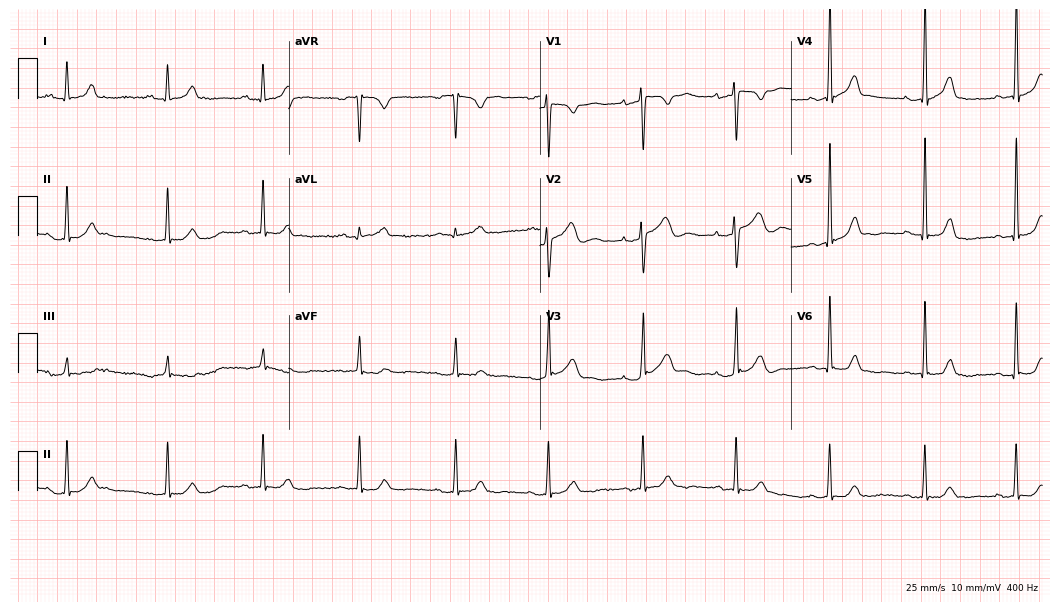
ECG — a female, 32 years old. Labelled as a normal ECG.